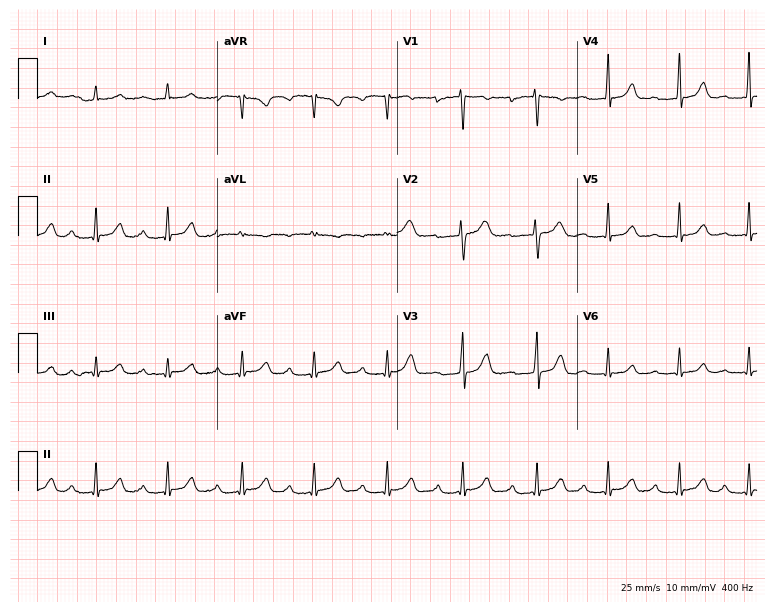
Electrocardiogram, a 34-year-old female patient. Interpretation includes first-degree AV block.